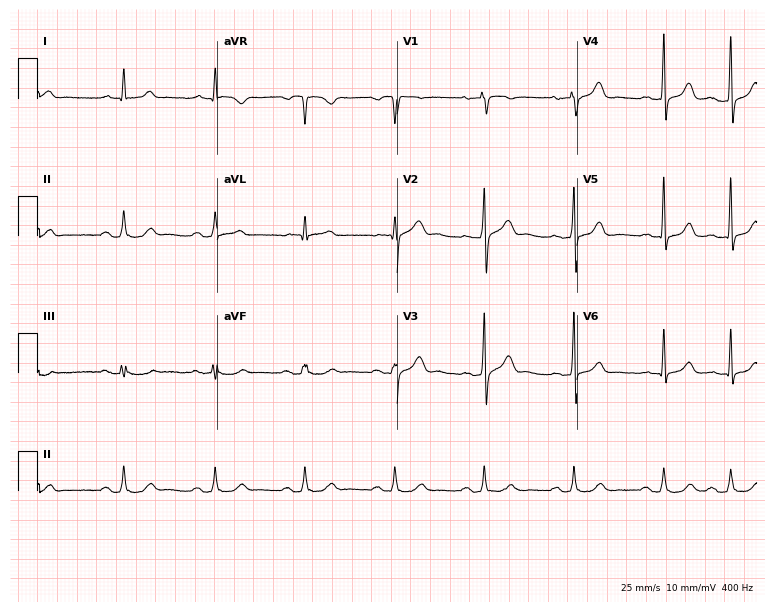
Standard 12-lead ECG recorded from a 77-year-old man. None of these six findings is recorded: first-degree AV block, right bundle branch block, left bundle branch block, sinus bradycardia, atrial fibrillation, sinus tachycardia. Only these six findings were labelled.